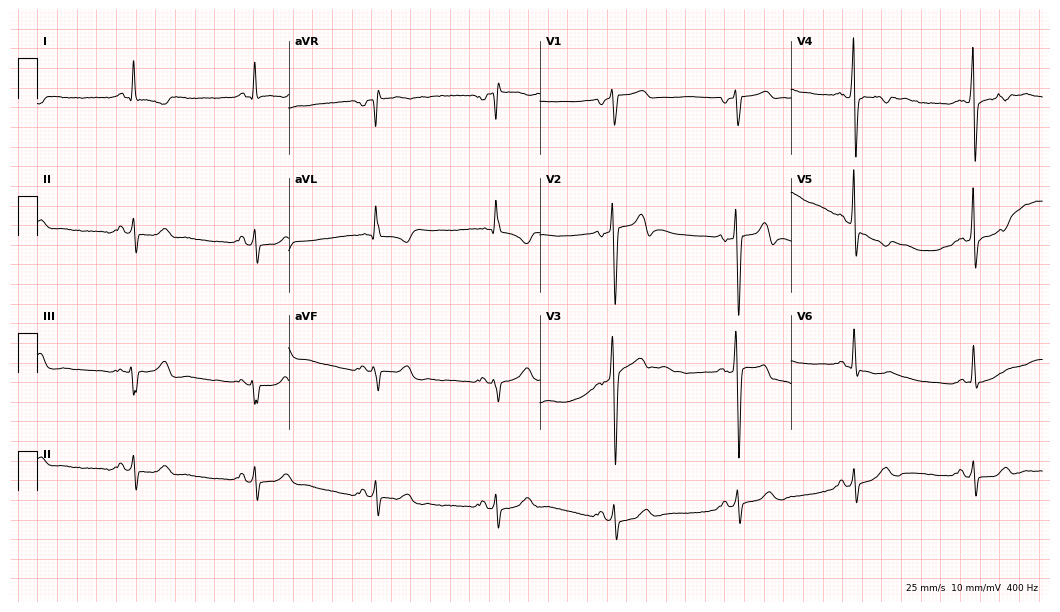
Standard 12-lead ECG recorded from a 40-year-old man. The tracing shows sinus bradycardia (a sinus rate of 50 beats per minute or less).